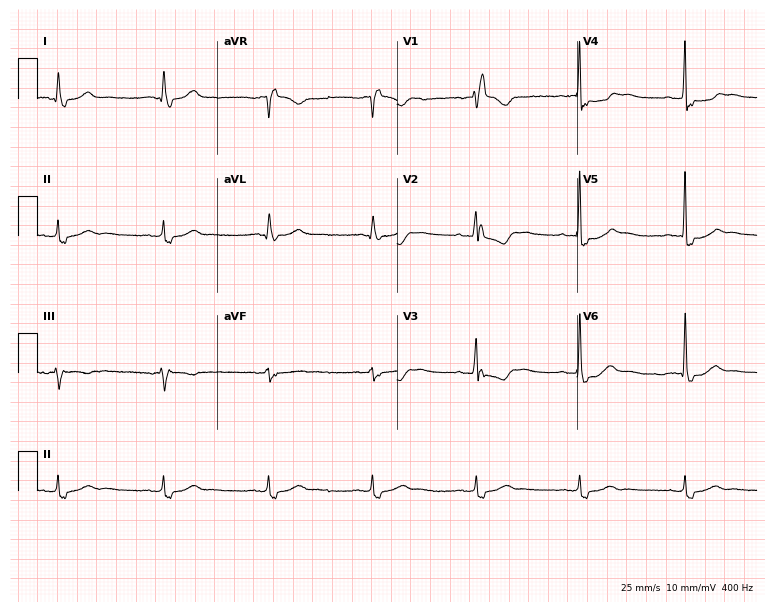
Resting 12-lead electrocardiogram. Patient: a female, 58 years old. The tracing shows right bundle branch block.